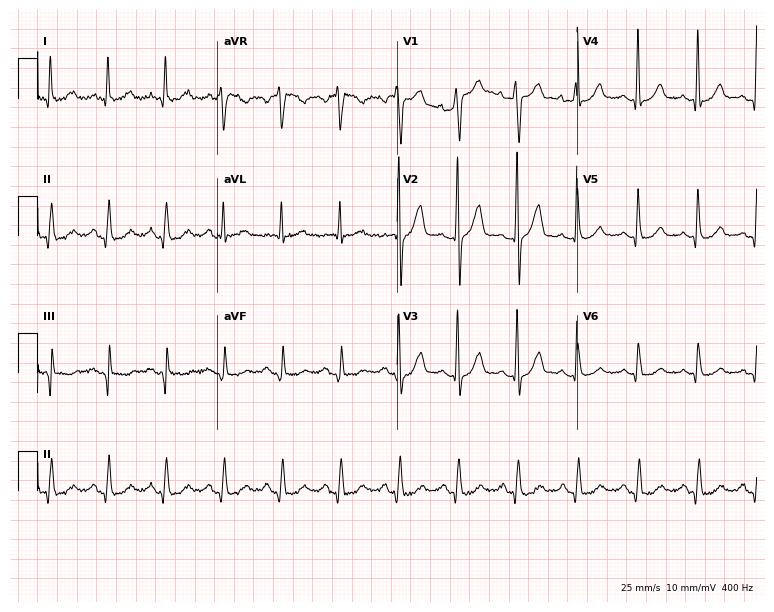
Resting 12-lead electrocardiogram. Patient: a male, 71 years old. Read as a normal ECG.